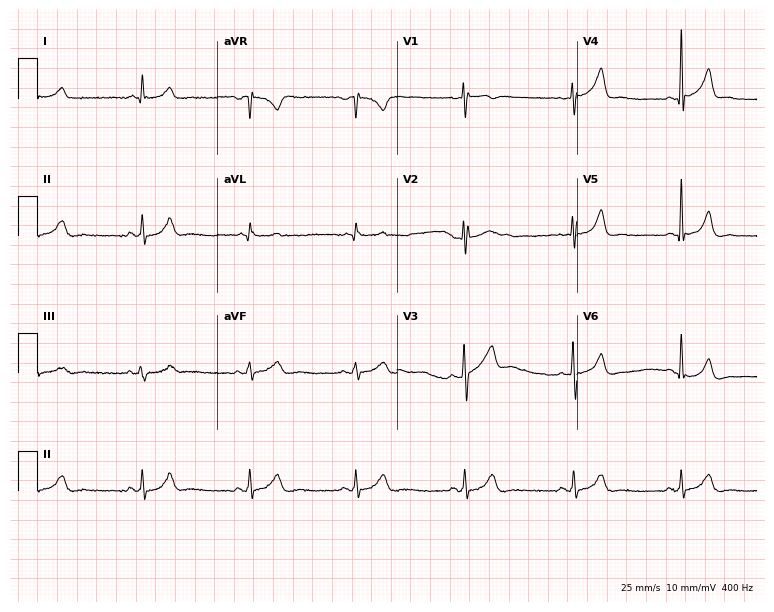
ECG (7.3-second recording at 400 Hz) — a male, 49 years old. Screened for six findings — first-degree AV block, right bundle branch block (RBBB), left bundle branch block (LBBB), sinus bradycardia, atrial fibrillation (AF), sinus tachycardia — none is recorded.